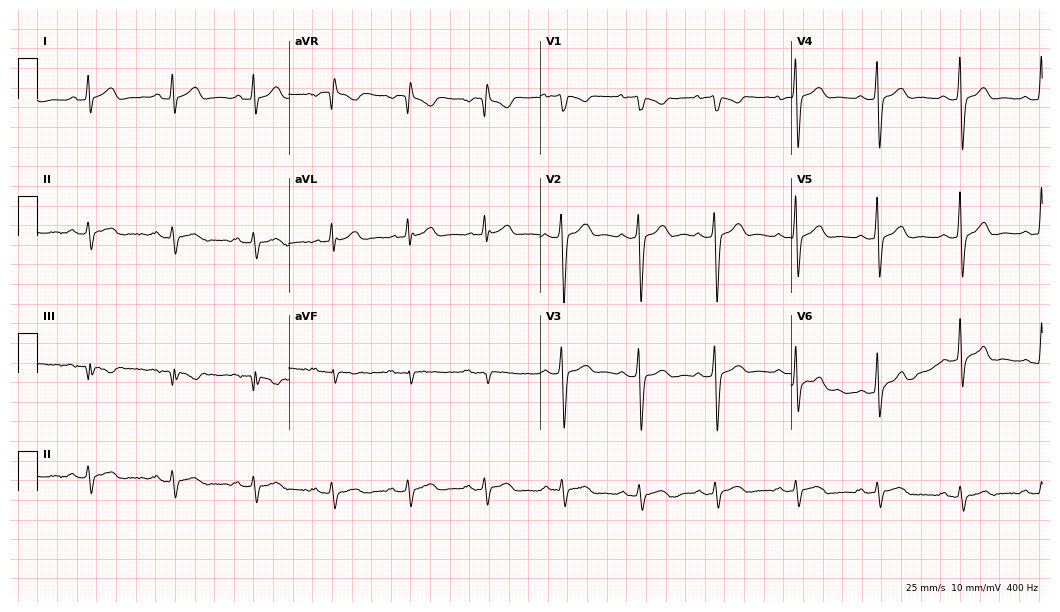
12-lead ECG from a 34-year-old male patient. Labelled as a normal ECG.